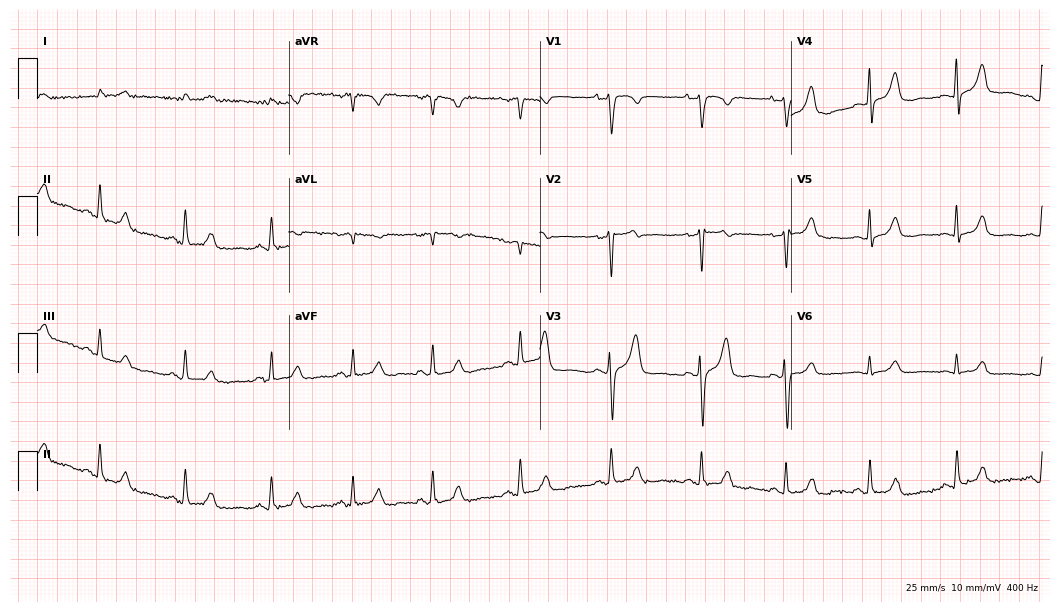
Standard 12-lead ECG recorded from a 51-year-old male (10.2-second recording at 400 Hz). Read as a normal ECG.